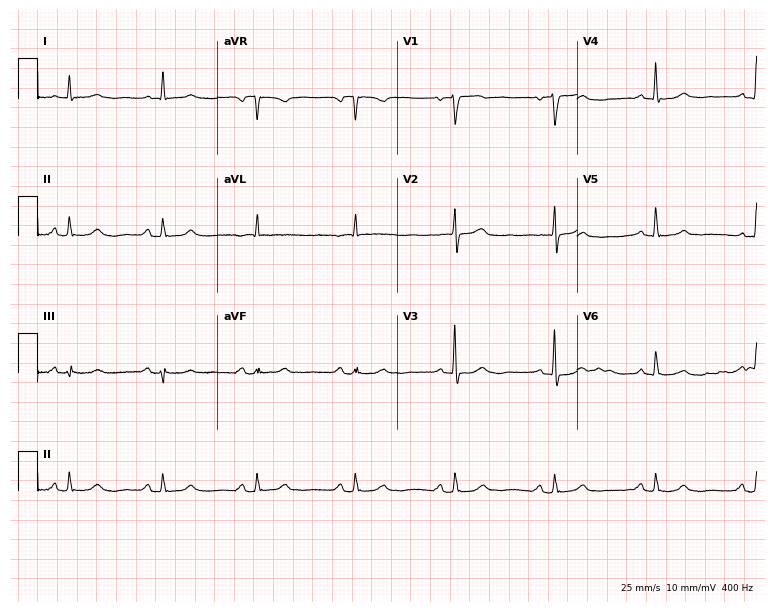
12-lead ECG from an 84-year-old man. Screened for six findings — first-degree AV block, right bundle branch block, left bundle branch block, sinus bradycardia, atrial fibrillation, sinus tachycardia — none is recorded.